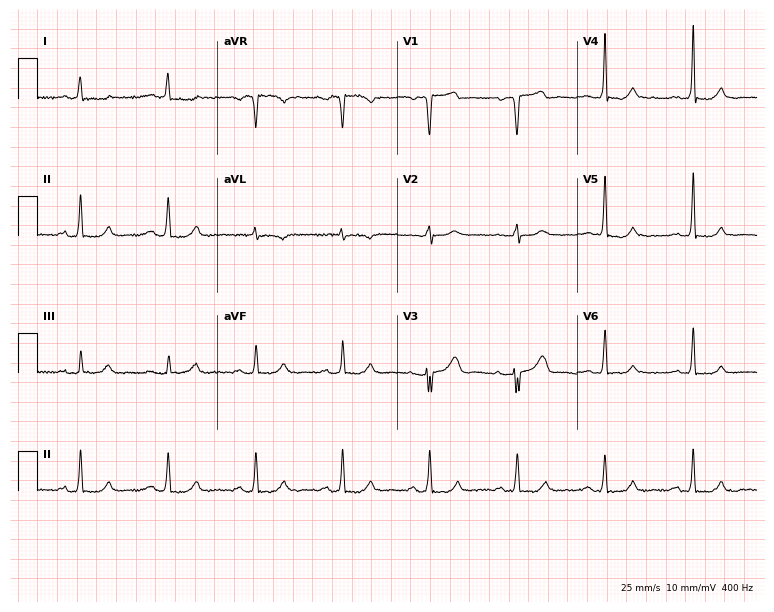
12-lead ECG from a male patient, 77 years old. Screened for six findings — first-degree AV block, right bundle branch block, left bundle branch block, sinus bradycardia, atrial fibrillation, sinus tachycardia — none is recorded.